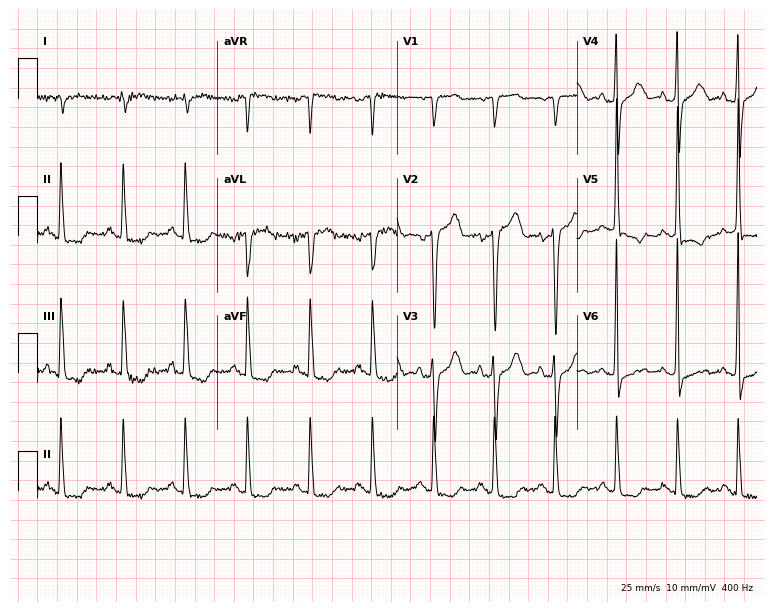
12-lead ECG from a female, 74 years old. Screened for six findings — first-degree AV block, right bundle branch block (RBBB), left bundle branch block (LBBB), sinus bradycardia, atrial fibrillation (AF), sinus tachycardia — none is recorded.